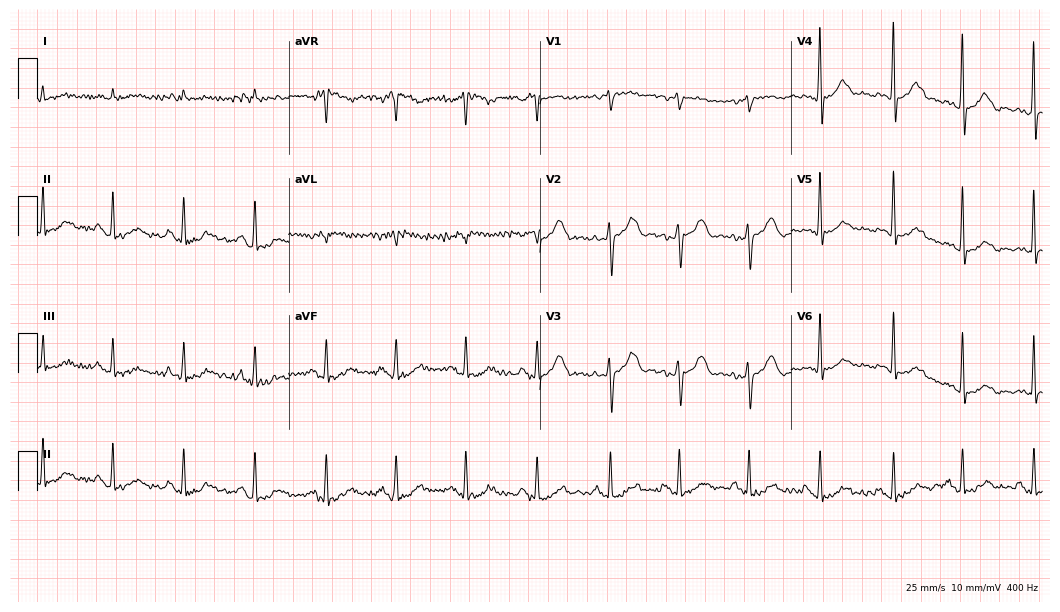
ECG — a 79-year-old male. Labelled as a normal ECG.